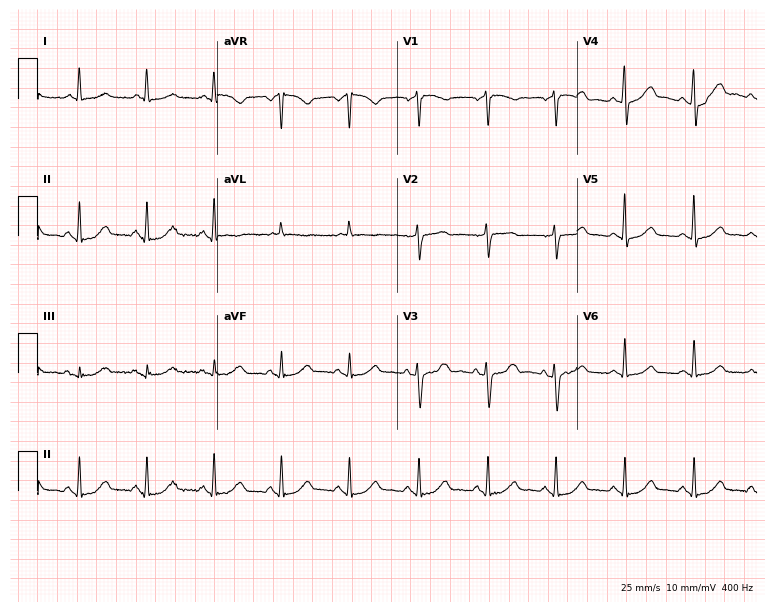
Standard 12-lead ECG recorded from a 66-year-old woman (7.3-second recording at 400 Hz). None of these six findings is recorded: first-degree AV block, right bundle branch block, left bundle branch block, sinus bradycardia, atrial fibrillation, sinus tachycardia.